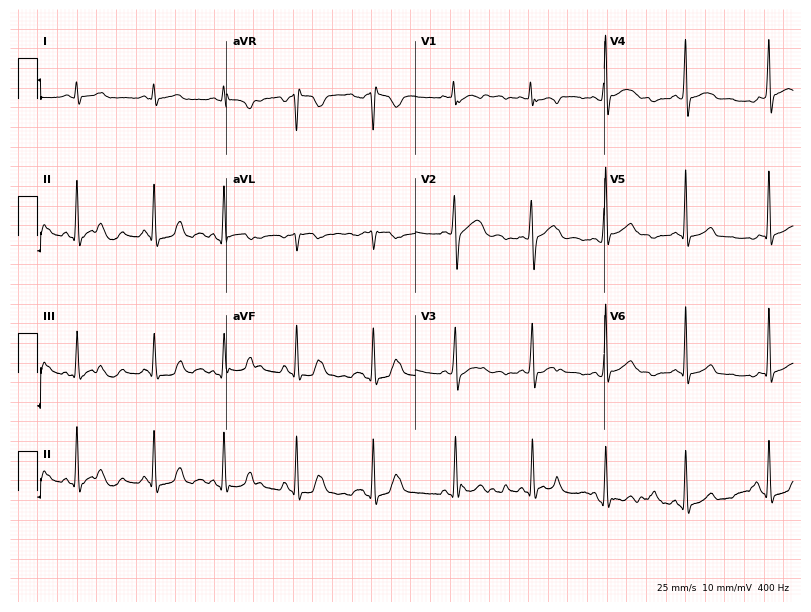
ECG — a 22-year-old woman. Labelled as a normal ECG.